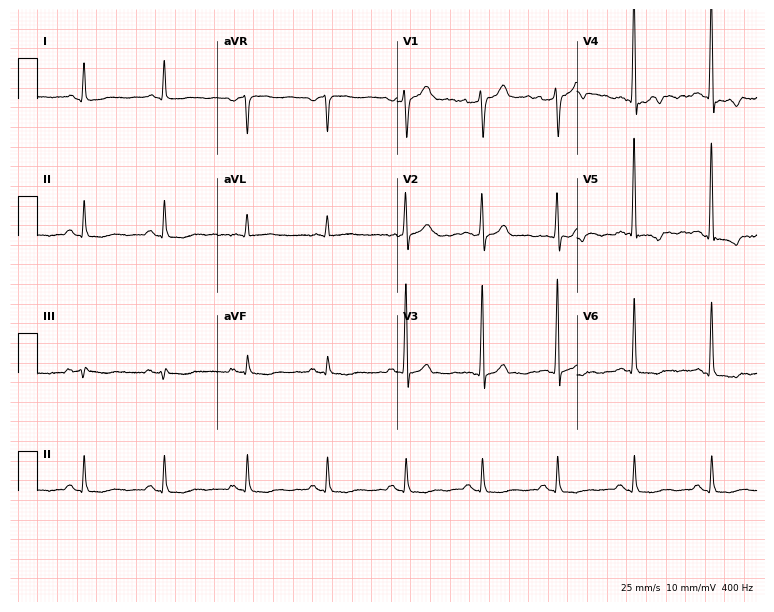
Standard 12-lead ECG recorded from a male, 61 years old. None of these six findings is recorded: first-degree AV block, right bundle branch block, left bundle branch block, sinus bradycardia, atrial fibrillation, sinus tachycardia.